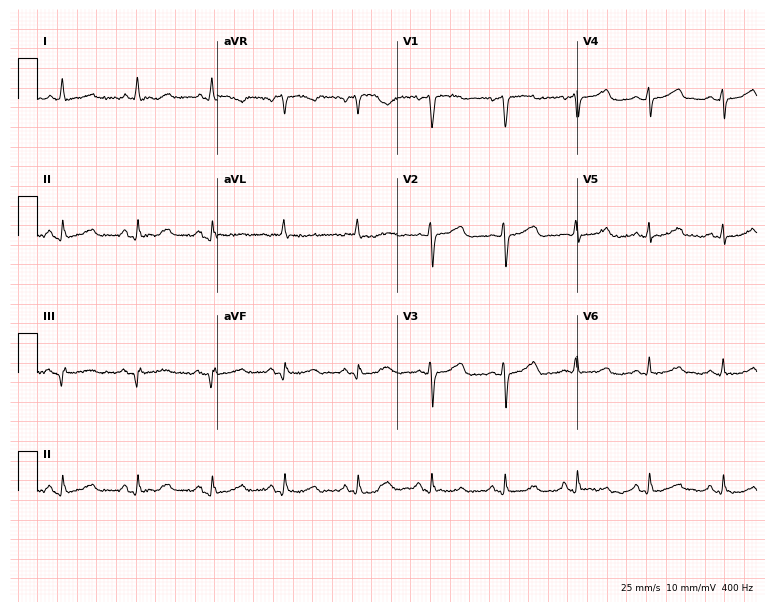
12-lead ECG from a 77-year-old woman. Labelled as a normal ECG.